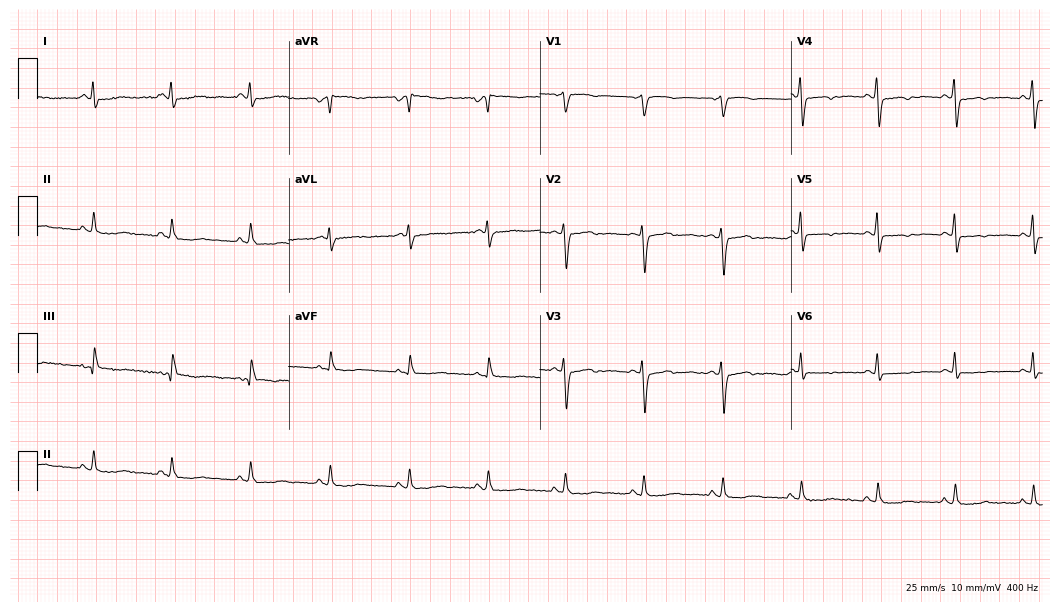
ECG (10.2-second recording at 400 Hz) — a female patient, 54 years old. Screened for six findings — first-degree AV block, right bundle branch block (RBBB), left bundle branch block (LBBB), sinus bradycardia, atrial fibrillation (AF), sinus tachycardia — none is recorded. Findings outside these six are not listed.